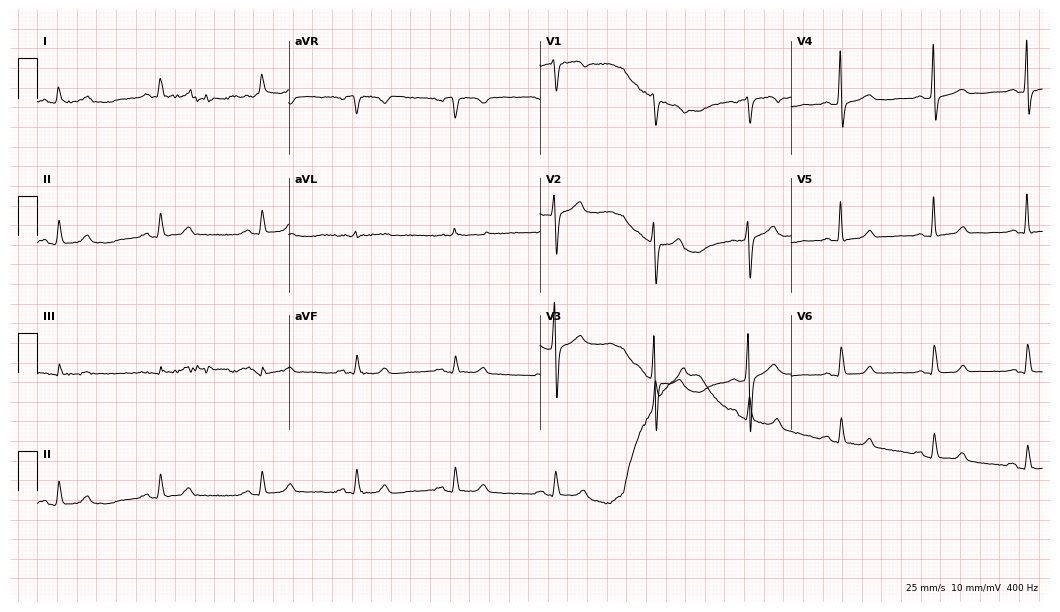
Electrocardiogram (10.2-second recording at 400 Hz), a 50-year-old female. Overall reading on record: normal ECG.